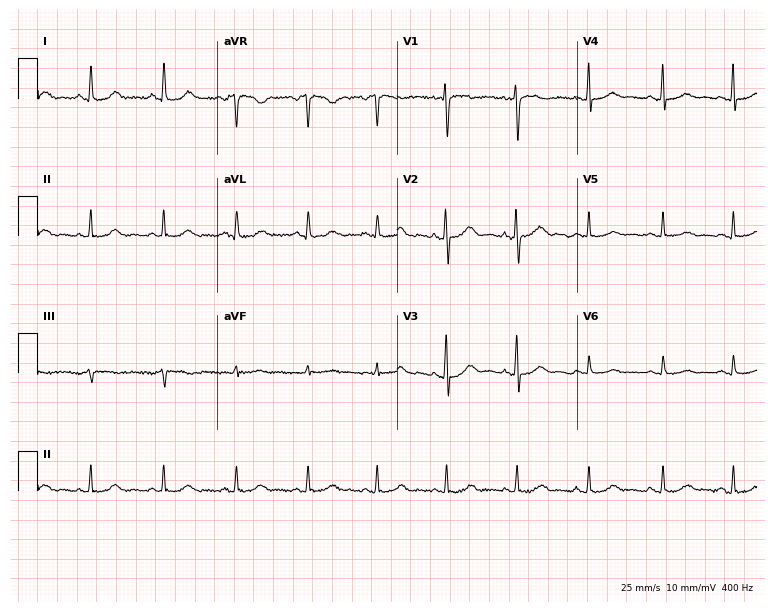
Electrocardiogram (7.3-second recording at 400 Hz), a 34-year-old female patient. Overall reading on record: normal ECG.